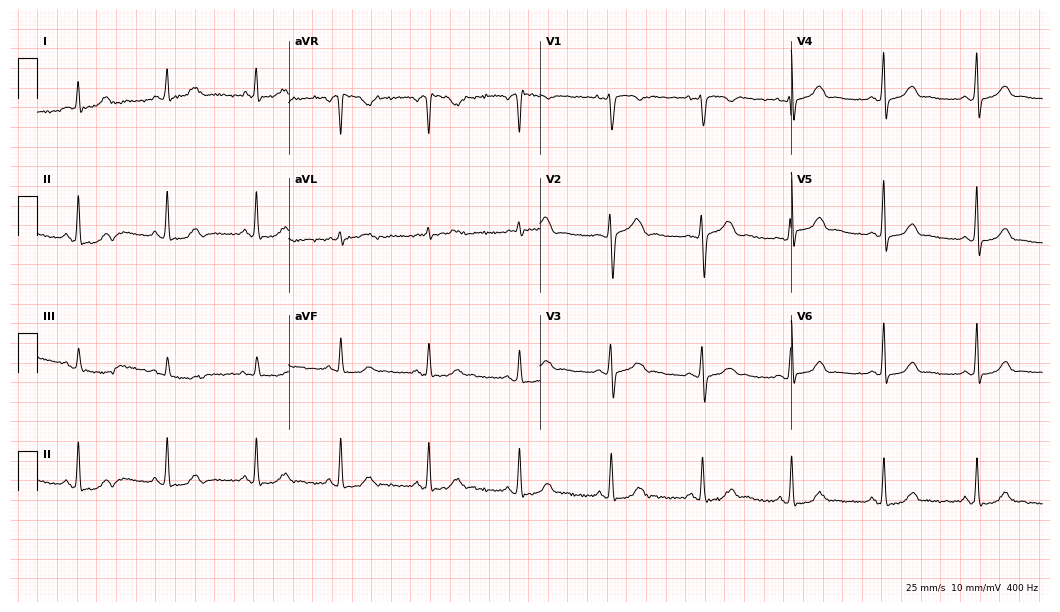
Standard 12-lead ECG recorded from a 27-year-old male (10.2-second recording at 400 Hz). Read as a normal ECG.